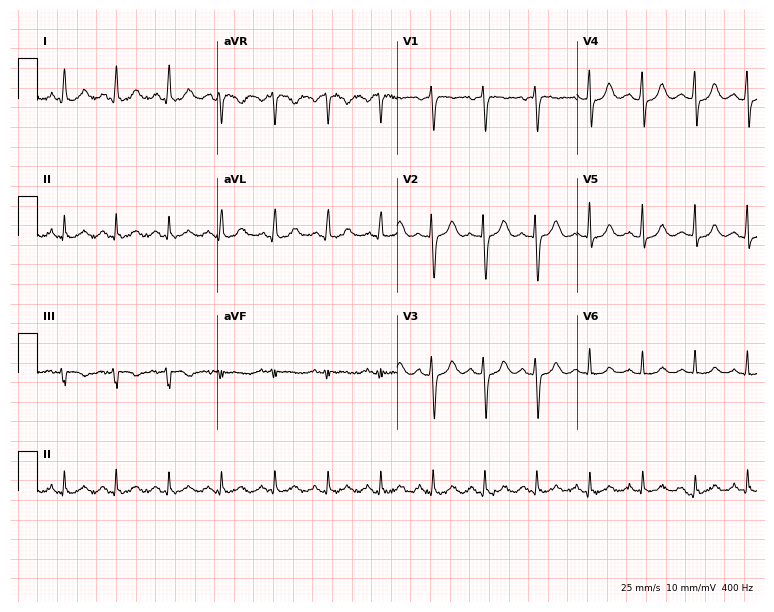
12-lead ECG from a female, 68 years old. No first-degree AV block, right bundle branch block (RBBB), left bundle branch block (LBBB), sinus bradycardia, atrial fibrillation (AF) or sinus tachycardia recorded for this tracing.